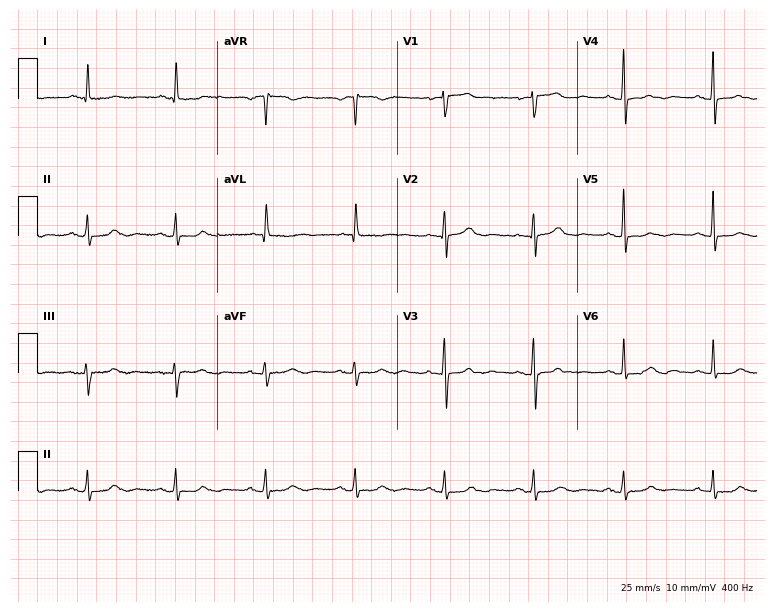
Resting 12-lead electrocardiogram. Patient: a 76-year-old female. None of these six findings is recorded: first-degree AV block, right bundle branch block, left bundle branch block, sinus bradycardia, atrial fibrillation, sinus tachycardia. Findings outside these six are not listed.